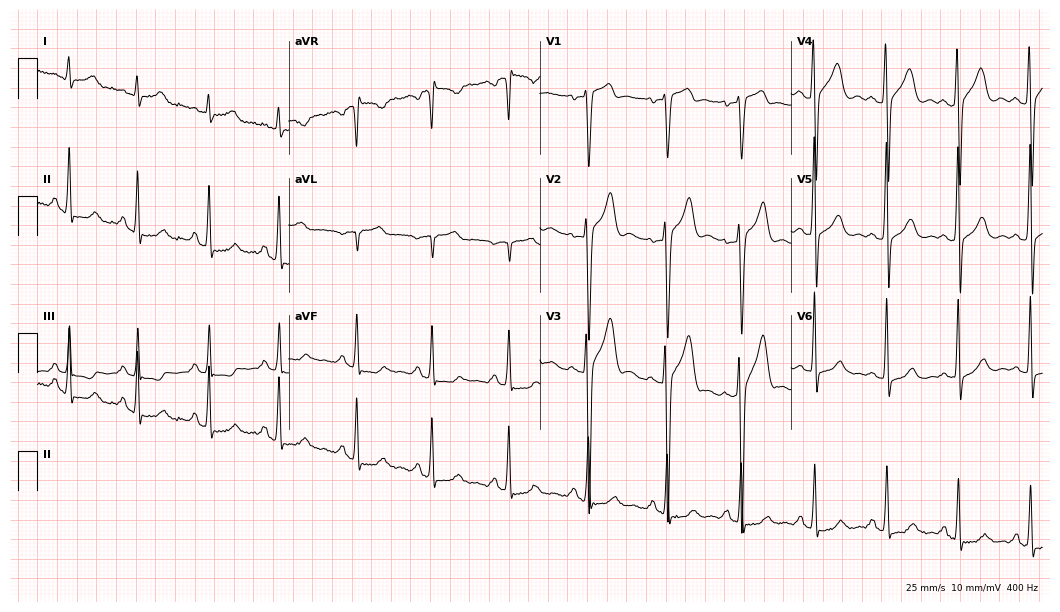
Standard 12-lead ECG recorded from a man, 27 years old (10.2-second recording at 400 Hz). None of these six findings is recorded: first-degree AV block, right bundle branch block, left bundle branch block, sinus bradycardia, atrial fibrillation, sinus tachycardia.